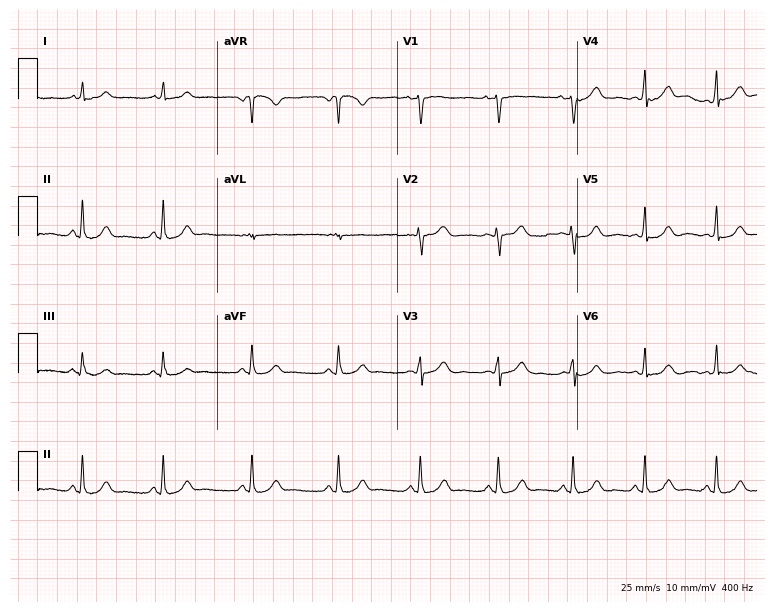
12-lead ECG from a 48-year-old female (7.3-second recording at 400 Hz). Recorded interpretation: within normal limits.